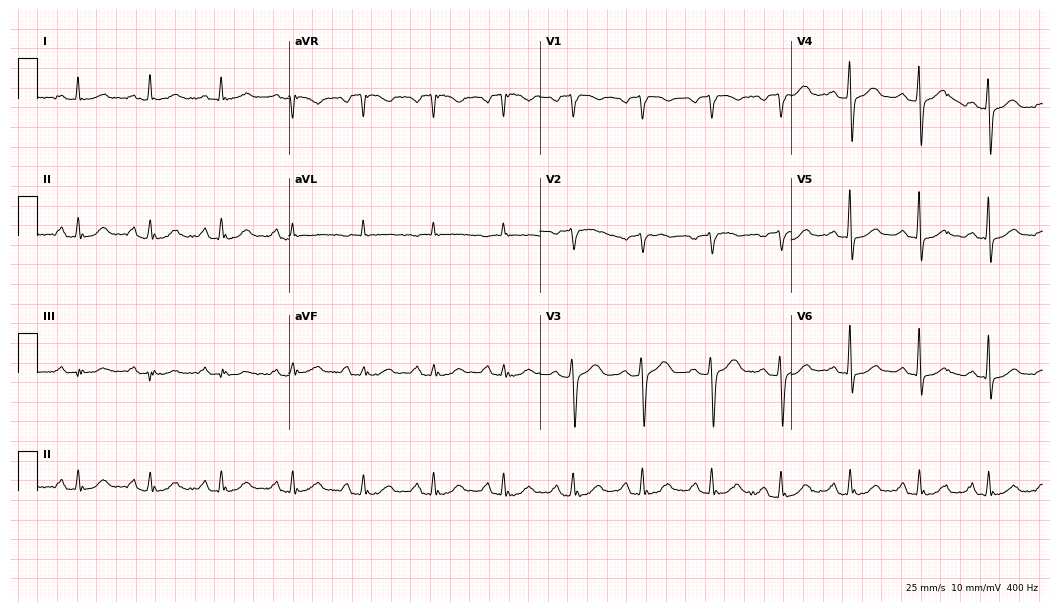
Resting 12-lead electrocardiogram (10.2-second recording at 400 Hz). Patient: a female, 61 years old. Read as a normal ECG.